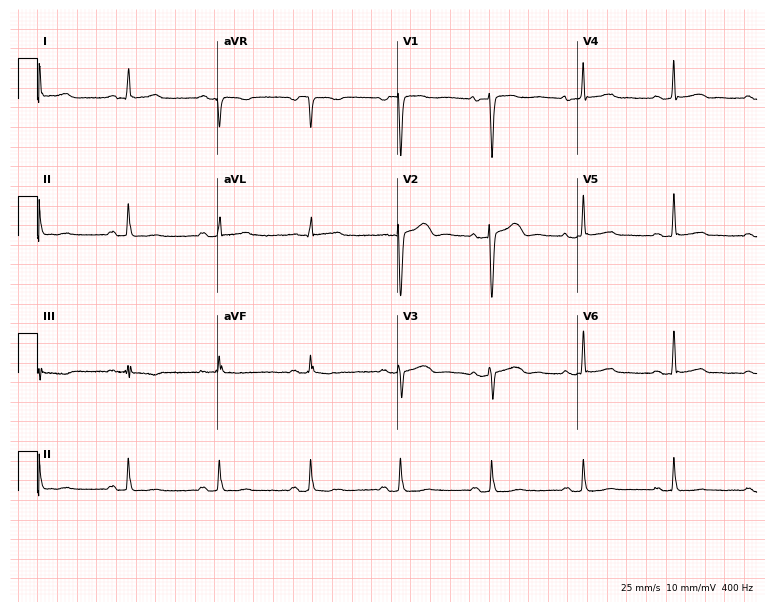
ECG — a 31-year-old female patient. Screened for six findings — first-degree AV block, right bundle branch block, left bundle branch block, sinus bradycardia, atrial fibrillation, sinus tachycardia — none is recorded. Only these six findings were labelled.